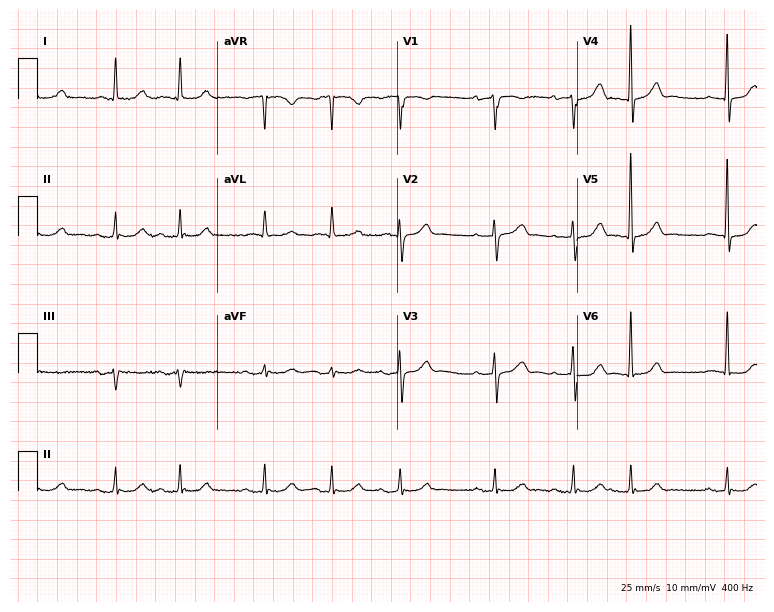
ECG (7.3-second recording at 400 Hz) — a male, 84 years old. Screened for six findings — first-degree AV block, right bundle branch block, left bundle branch block, sinus bradycardia, atrial fibrillation, sinus tachycardia — none is recorded.